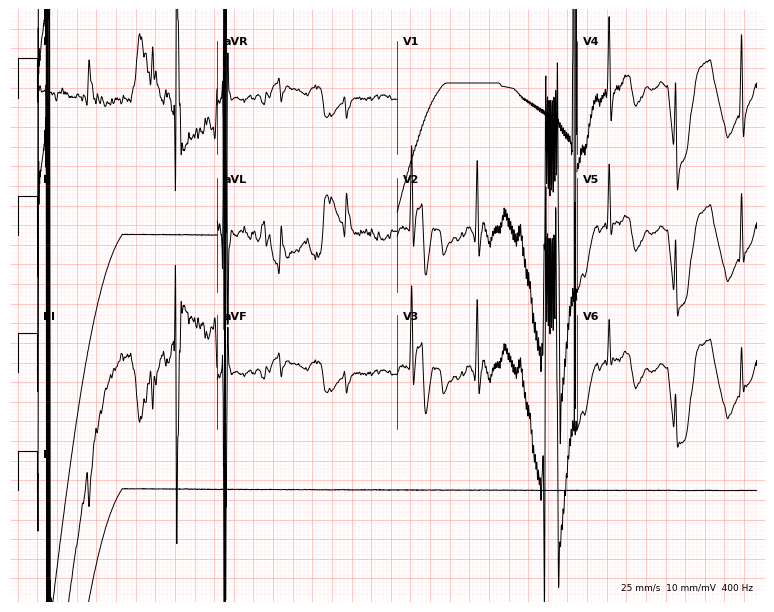
Electrocardiogram, an 85-year-old male patient. Of the six screened findings (first-degree AV block, right bundle branch block, left bundle branch block, sinus bradycardia, atrial fibrillation, sinus tachycardia), none is recorded. Only these six findings were labelled.